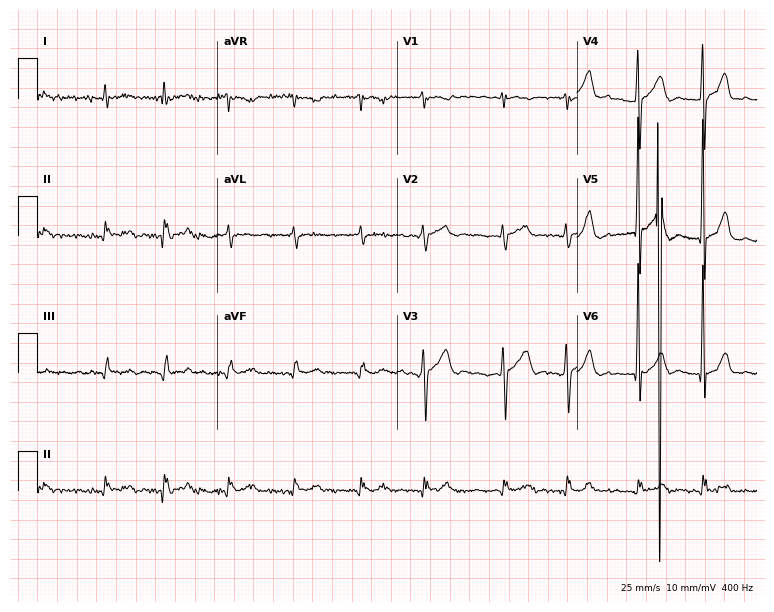
Resting 12-lead electrocardiogram (7.3-second recording at 400 Hz). Patient: a female, 77 years old. None of these six findings is recorded: first-degree AV block, right bundle branch block, left bundle branch block, sinus bradycardia, atrial fibrillation, sinus tachycardia. Other findings, if any, are not listed.